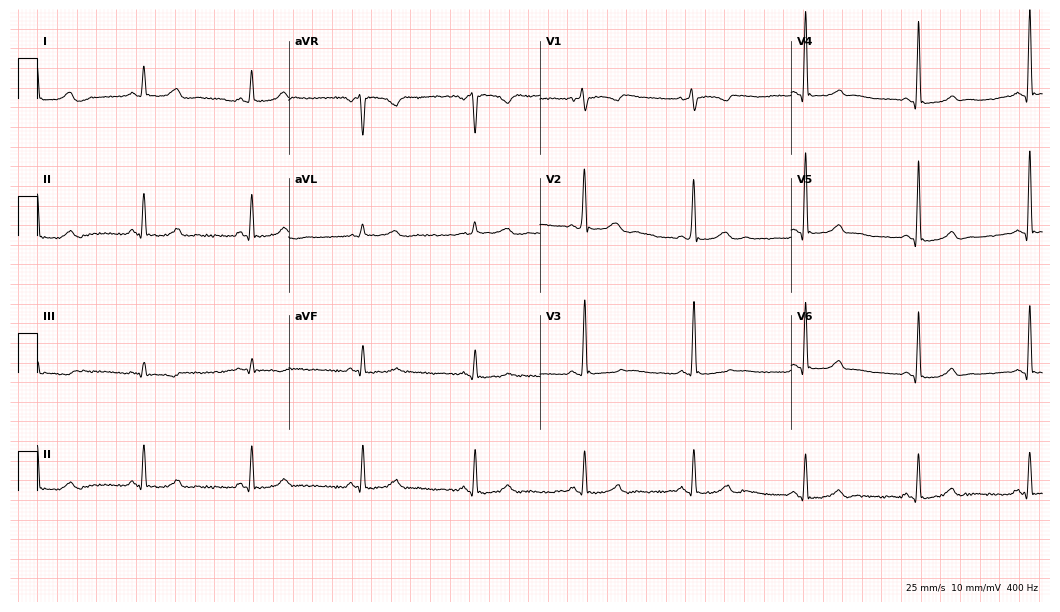
Electrocardiogram, a 53-year-old female patient. Of the six screened findings (first-degree AV block, right bundle branch block, left bundle branch block, sinus bradycardia, atrial fibrillation, sinus tachycardia), none is recorded.